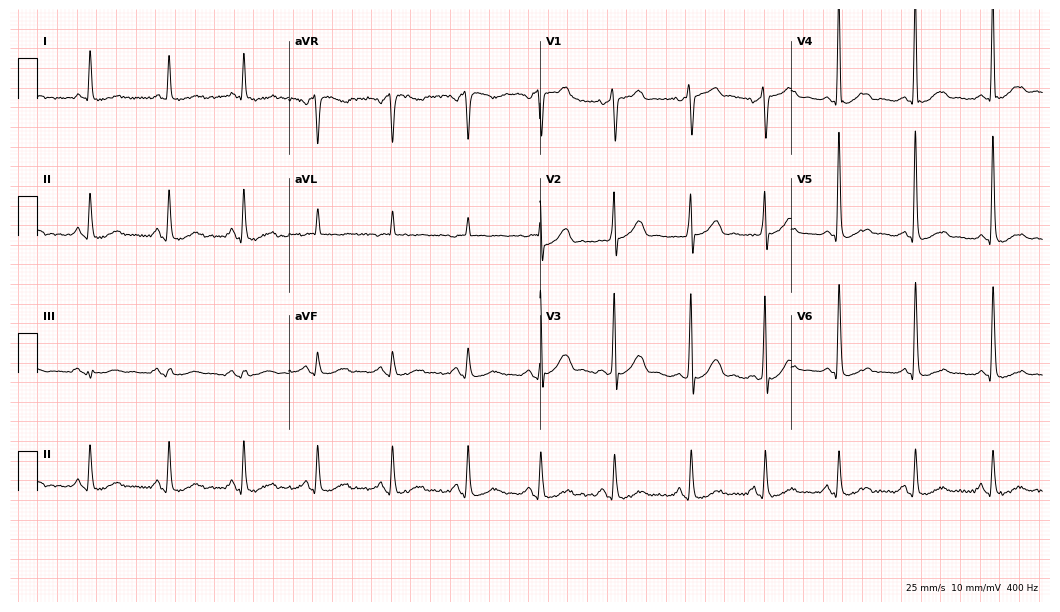
Standard 12-lead ECG recorded from a male patient, 64 years old (10.2-second recording at 400 Hz). None of these six findings is recorded: first-degree AV block, right bundle branch block (RBBB), left bundle branch block (LBBB), sinus bradycardia, atrial fibrillation (AF), sinus tachycardia.